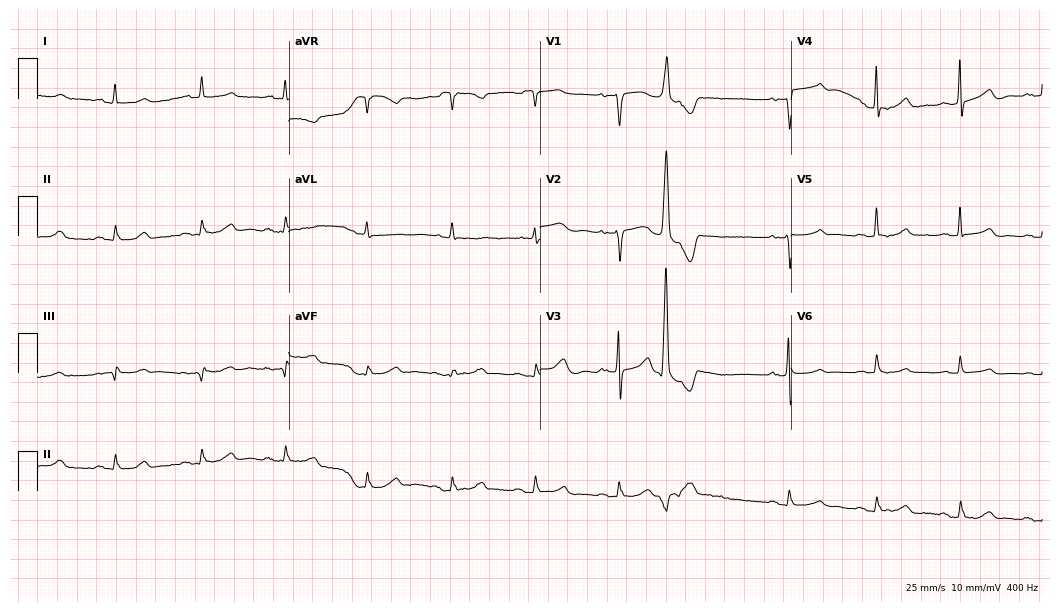
Resting 12-lead electrocardiogram (10.2-second recording at 400 Hz). Patient: a 75-year-old woman. None of these six findings is recorded: first-degree AV block, right bundle branch block, left bundle branch block, sinus bradycardia, atrial fibrillation, sinus tachycardia.